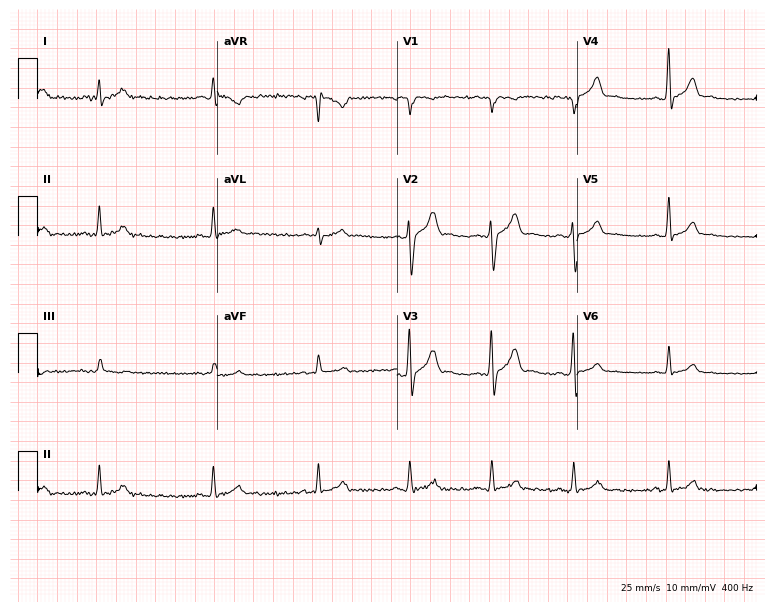
Standard 12-lead ECG recorded from a male, 31 years old (7.3-second recording at 400 Hz). None of these six findings is recorded: first-degree AV block, right bundle branch block, left bundle branch block, sinus bradycardia, atrial fibrillation, sinus tachycardia. Only these six findings were labelled.